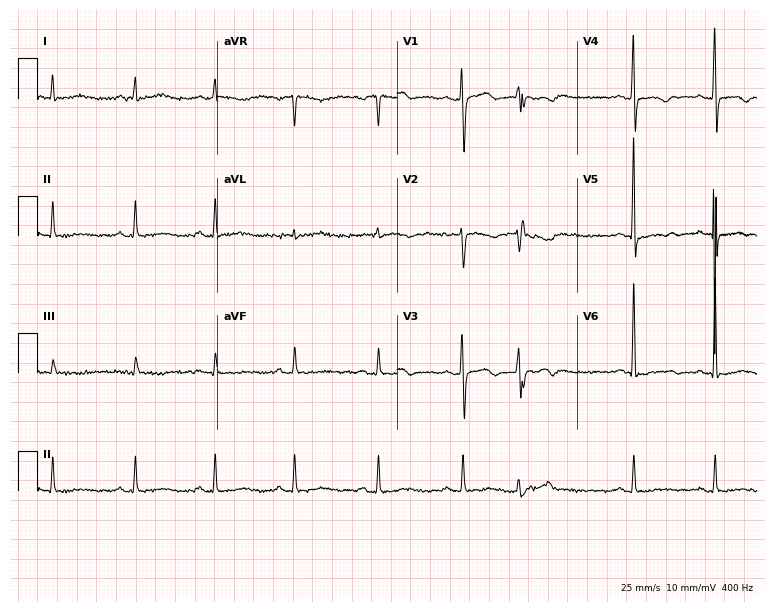
Standard 12-lead ECG recorded from a 55-year-old woman (7.3-second recording at 400 Hz). None of these six findings is recorded: first-degree AV block, right bundle branch block (RBBB), left bundle branch block (LBBB), sinus bradycardia, atrial fibrillation (AF), sinus tachycardia. Only these six findings were labelled.